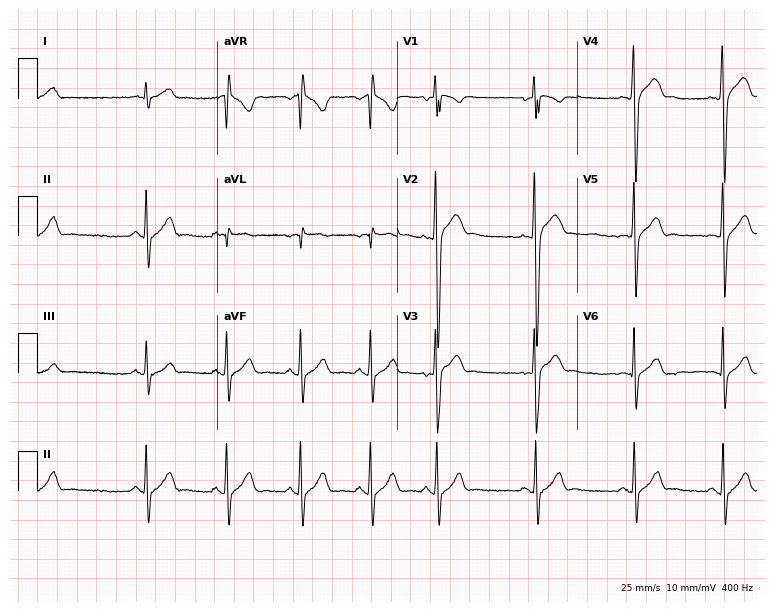
Electrocardiogram, a 23-year-old man. Of the six screened findings (first-degree AV block, right bundle branch block (RBBB), left bundle branch block (LBBB), sinus bradycardia, atrial fibrillation (AF), sinus tachycardia), none is recorded. Only these six findings were labelled.